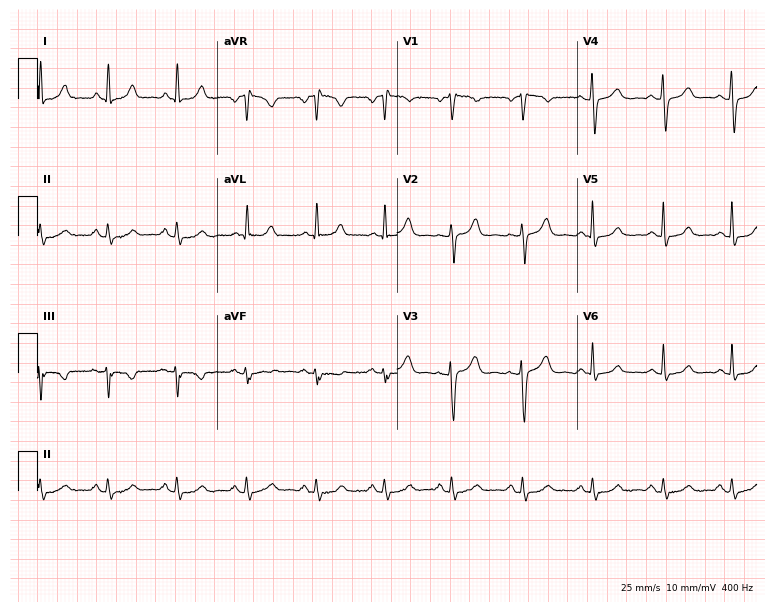
12-lead ECG from a 43-year-old woman. No first-degree AV block, right bundle branch block, left bundle branch block, sinus bradycardia, atrial fibrillation or sinus tachycardia recorded for this tracing. Only these six findings were labelled.